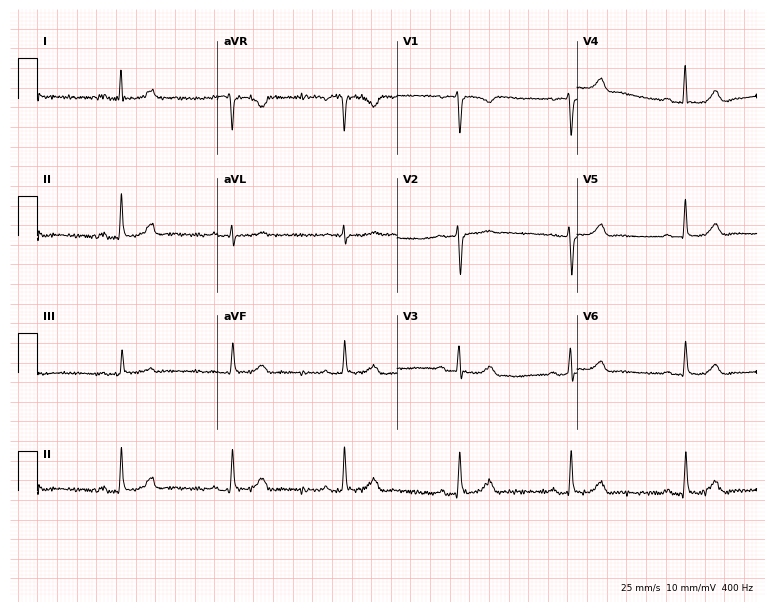
Electrocardiogram, a male patient, 58 years old. Overall reading on record: normal ECG.